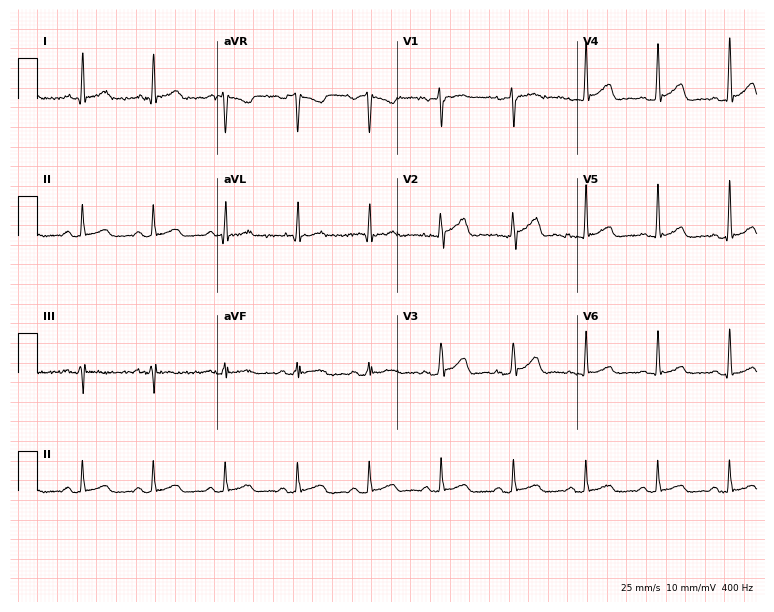
12-lead ECG (7.3-second recording at 400 Hz) from a male patient, 44 years old. Labelled as a normal ECG.